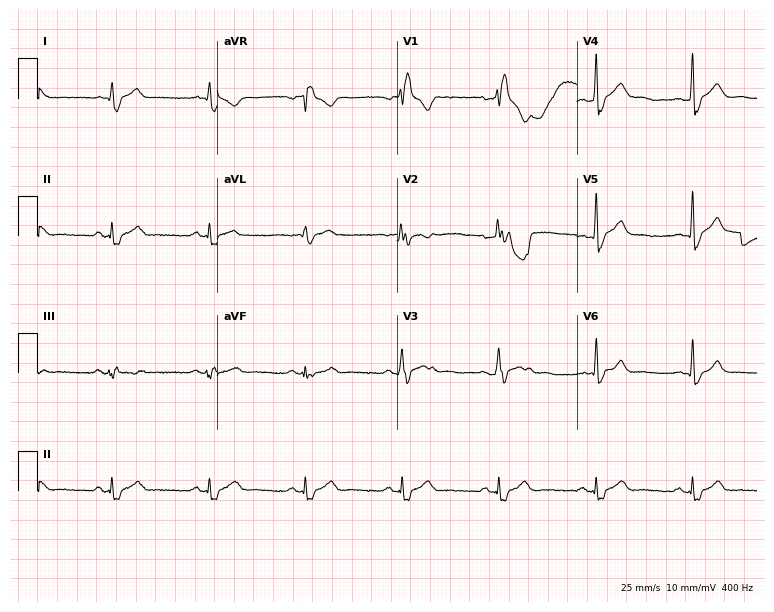
Resting 12-lead electrocardiogram (7.3-second recording at 400 Hz). Patient: a man, 38 years old. The tracing shows right bundle branch block.